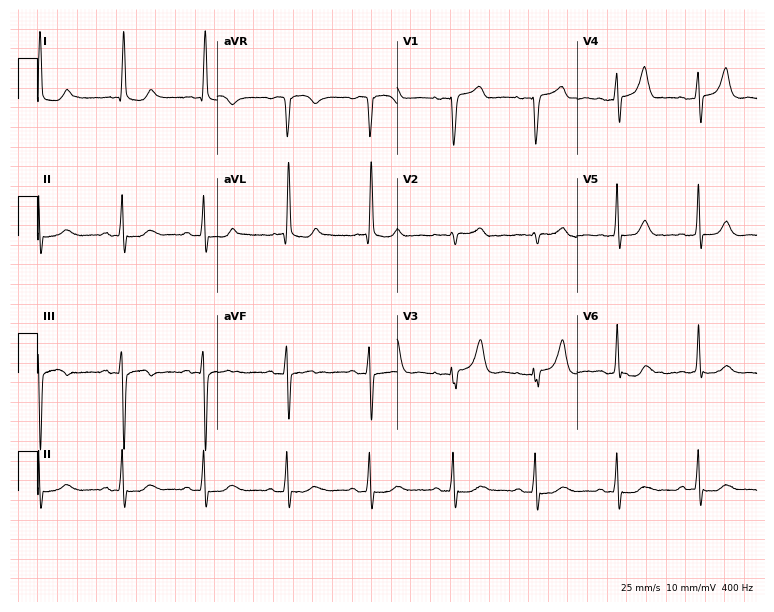
12-lead ECG from a female, 83 years old. No first-degree AV block, right bundle branch block, left bundle branch block, sinus bradycardia, atrial fibrillation or sinus tachycardia recorded for this tracing. Other findings, if any, are not listed.